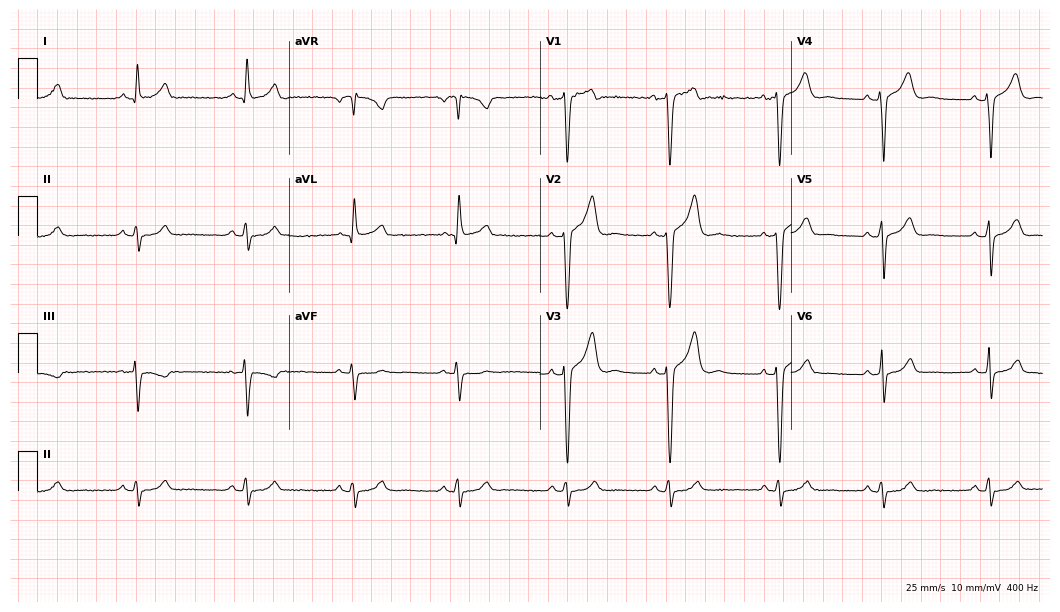
Electrocardiogram, a man, 46 years old. Of the six screened findings (first-degree AV block, right bundle branch block (RBBB), left bundle branch block (LBBB), sinus bradycardia, atrial fibrillation (AF), sinus tachycardia), none is recorded.